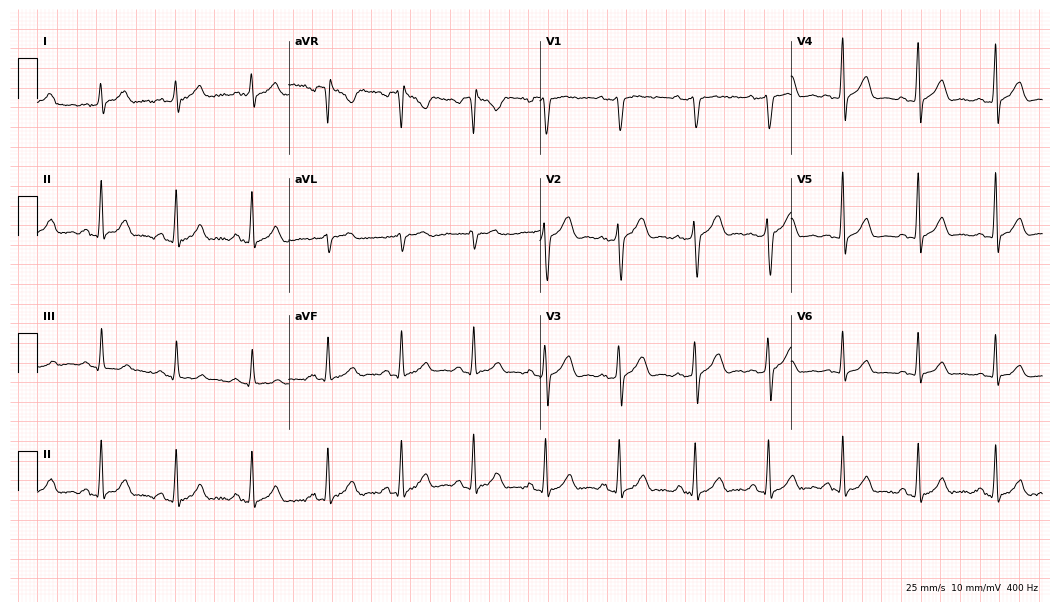
Resting 12-lead electrocardiogram. Patient: a male, 44 years old. Read as a normal ECG.